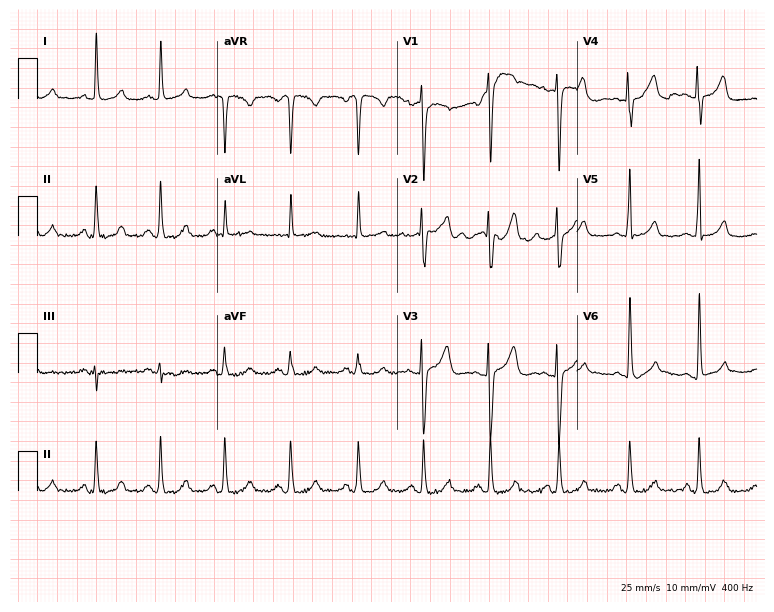
ECG — a 32-year-old female patient. Screened for six findings — first-degree AV block, right bundle branch block, left bundle branch block, sinus bradycardia, atrial fibrillation, sinus tachycardia — none is recorded. Findings outside these six are not listed.